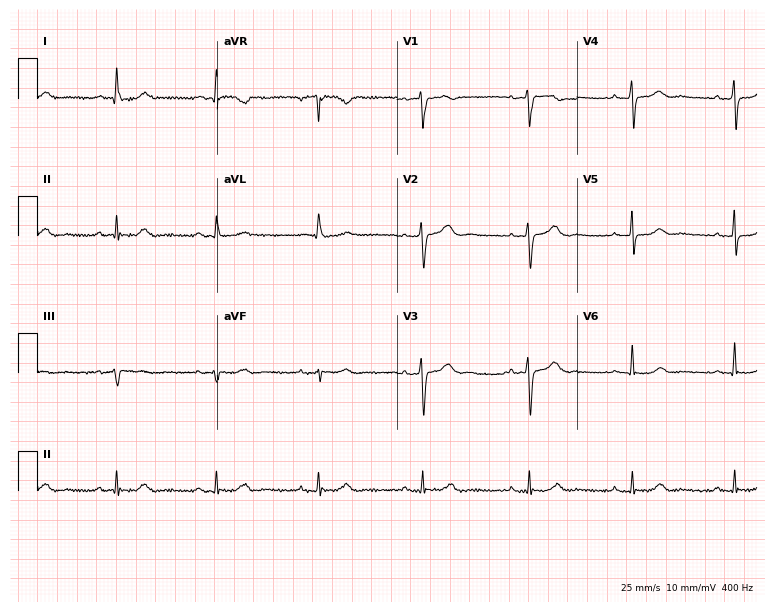
12-lead ECG (7.3-second recording at 400 Hz) from a 64-year-old female. Screened for six findings — first-degree AV block, right bundle branch block (RBBB), left bundle branch block (LBBB), sinus bradycardia, atrial fibrillation (AF), sinus tachycardia — none is recorded.